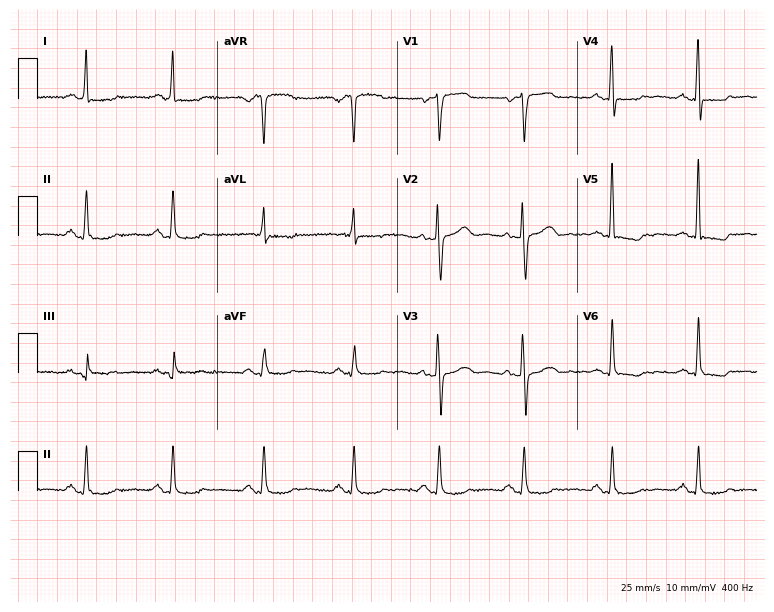
12-lead ECG from a woman, 52 years old (7.3-second recording at 400 Hz). No first-degree AV block, right bundle branch block, left bundle branch block, sinus bradycardia, atrial fibrillation or sinus tachycardia recorded for this tracing. Findings outside these six are not listed.